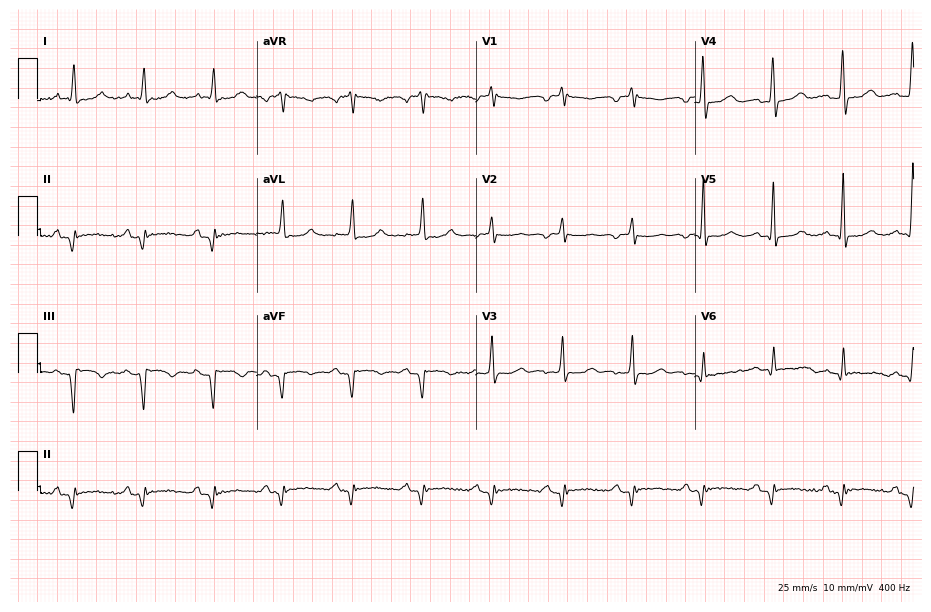
12-lead ECG (8.9-second recording at 400 Hz) from an 80-year-old man. Screened for six findings — first-degree AV block, right bundle branch block, left bundle branch block, sinus bradycardia, atrial fibrillation, sinus tachycardia — none is recorded. Only these six findings were labelled.